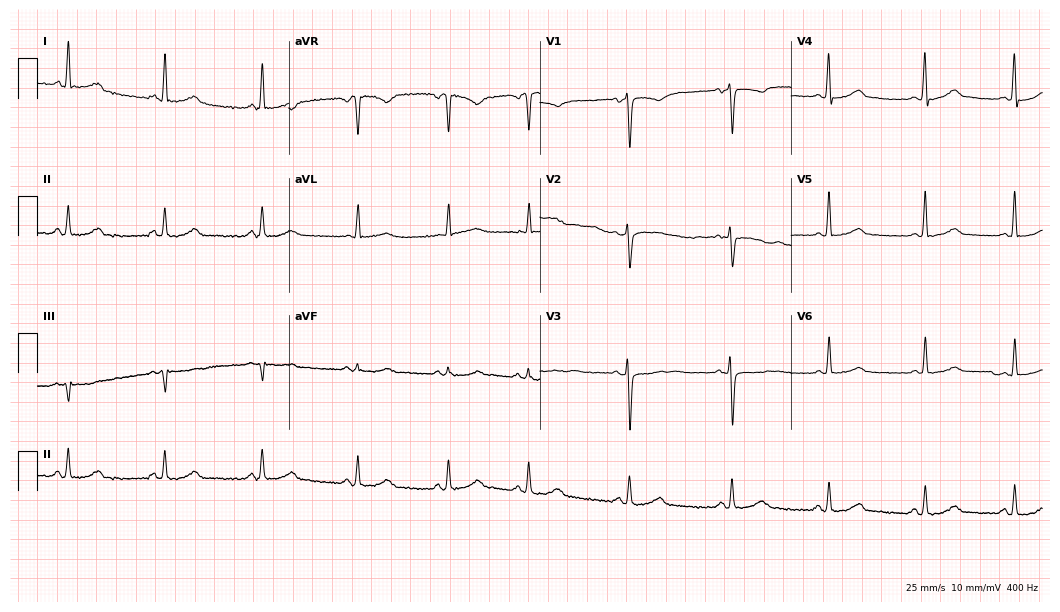
12-lead ECG from a female patient, 40 years old (10.2-second recording at 400 Hz). No first-degree AV block, right bundle branch block, left bundle branch block, sinus bradycardia, atrial fibrillation or sinus tachycardia recorded for this tracing. Other findings, if any, are not listed.